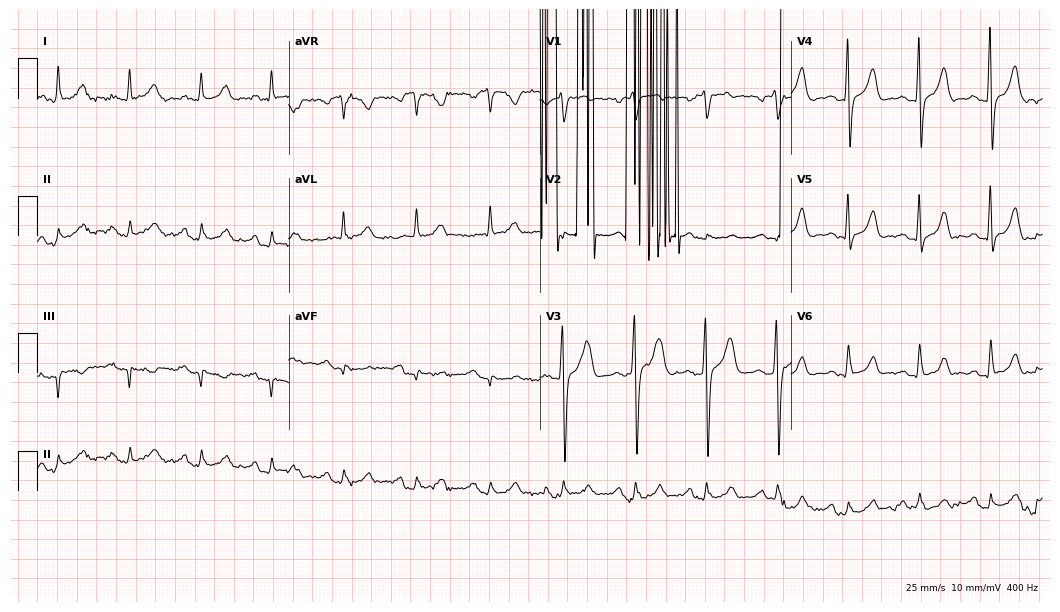
ECG (10.2-second recording at 400 Hz) — a male patient, 52 years old. Screened for six findings — first-degree AV block, right bundle branch block (RBBB), left bundle branch block (LBBB), sinus bradycardia, atrial fibrillation (AF), sinus tachycardia — none is recorded.